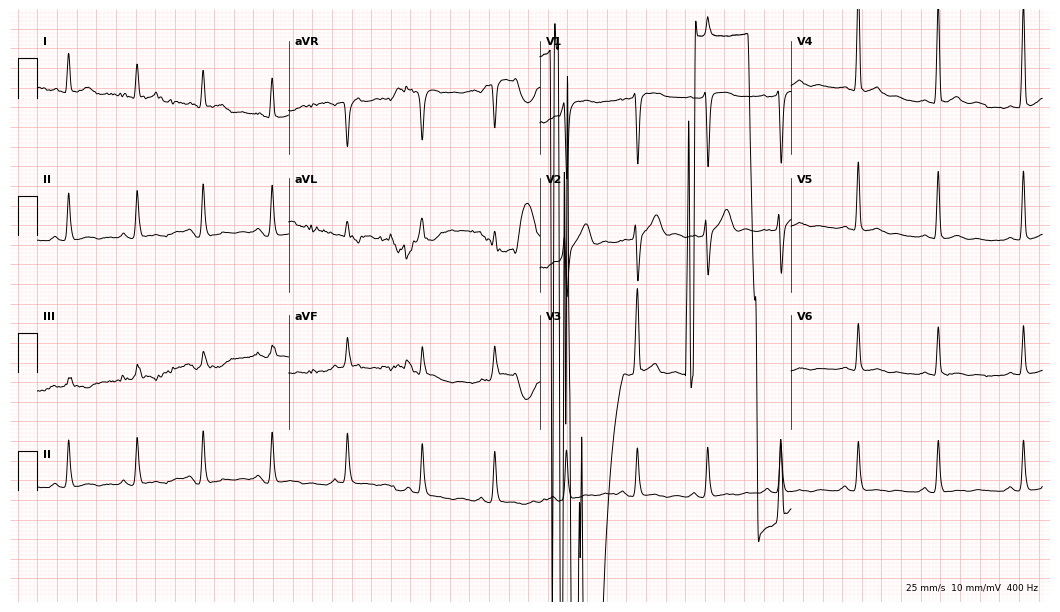
ECG (10.2-second recording at 400 Hz) — a man, 36 years old. Screened for six findings — first-degree AV block, right bundle branch block (RBBB), left bundle branch block (LBBB), sinus bradycardia, atrial fibrillation (AF), sinus tachycardia — none is recorded. Only these six findings were labelled.